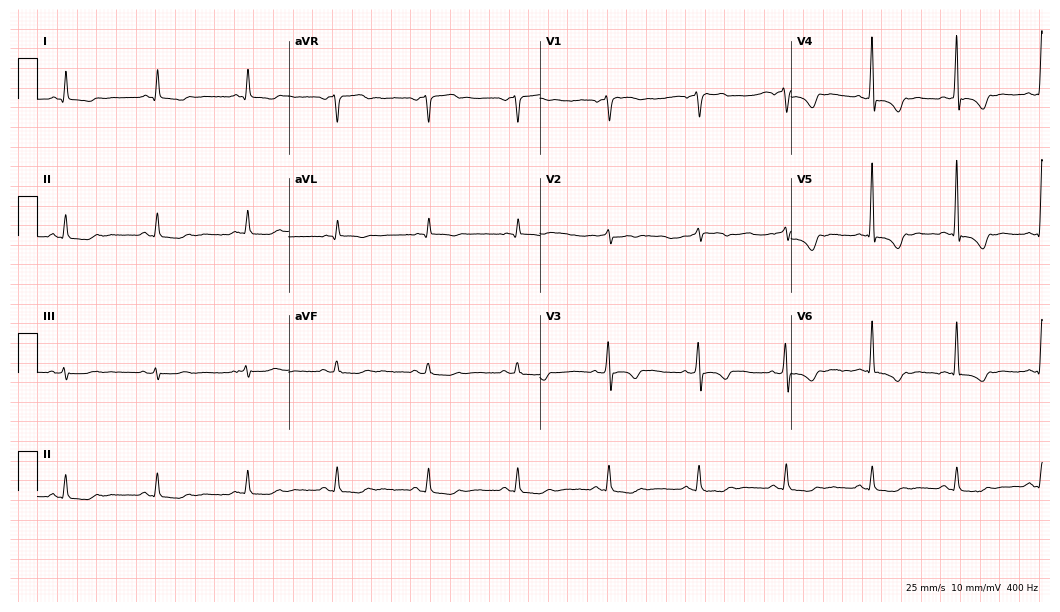
12-lead ECG from a female patient, 58 years old (10.2-second recording at 400 Hz). No first-degree AV block, right bundle branch block, left bundle branch block, sinus bradycardia, atrial fibrillation or sinus tachycardia recorded for this tracing.